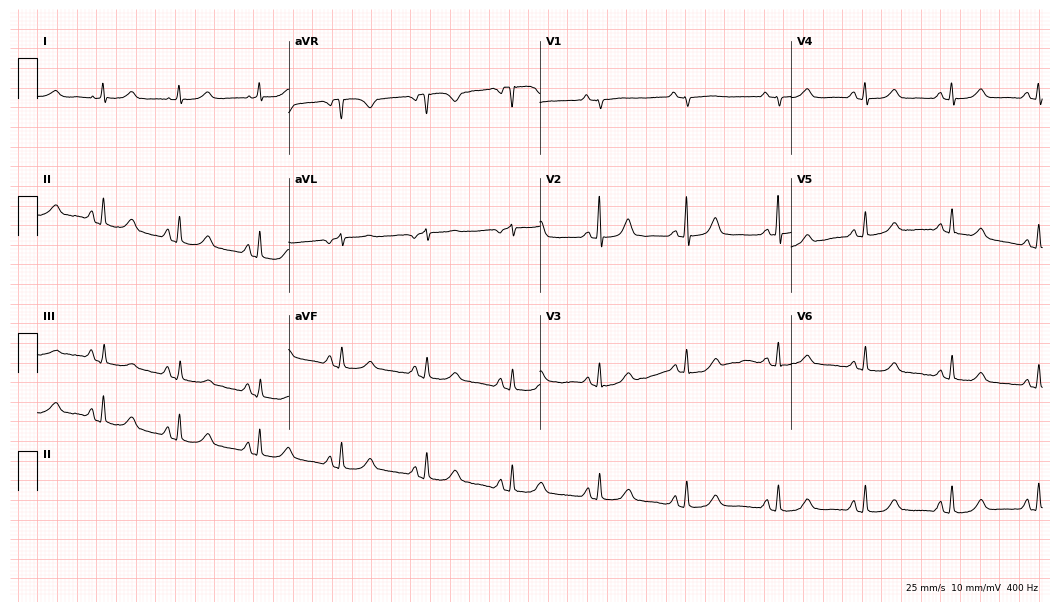
ECG (10.2-second recording at 400 Hz) — a 79-year-old female. Labelled as a normal ECG.